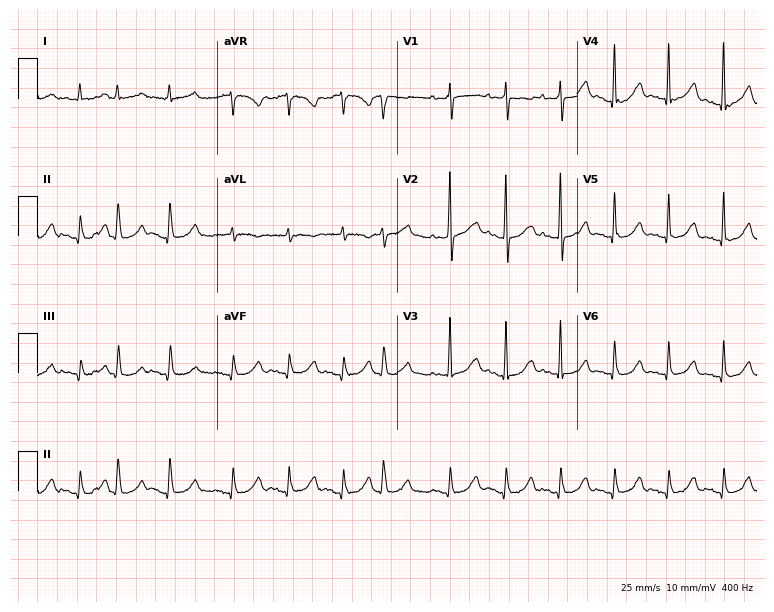
ECG (7.3-second recording at 400 Hz) — an 81-year-old woman. Findings include sinus tachycardia (a sinus rate of 100 beats per minute or more).